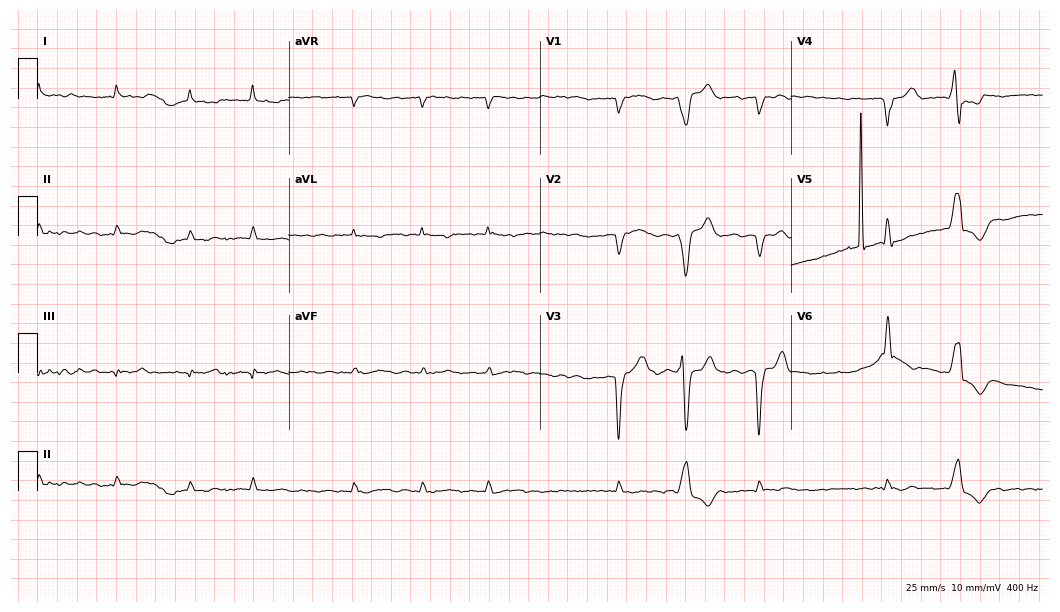
12-lead ECG from a male patient, 80 years old (10.2-second recording at 400 Hz). No first-degree AV block, right bundle branch block, left bundle branch block, sinus bradycardia, atrial fibrillation or sinus tachycardia recorded for this tracing. Other findings, if any, are not listed.